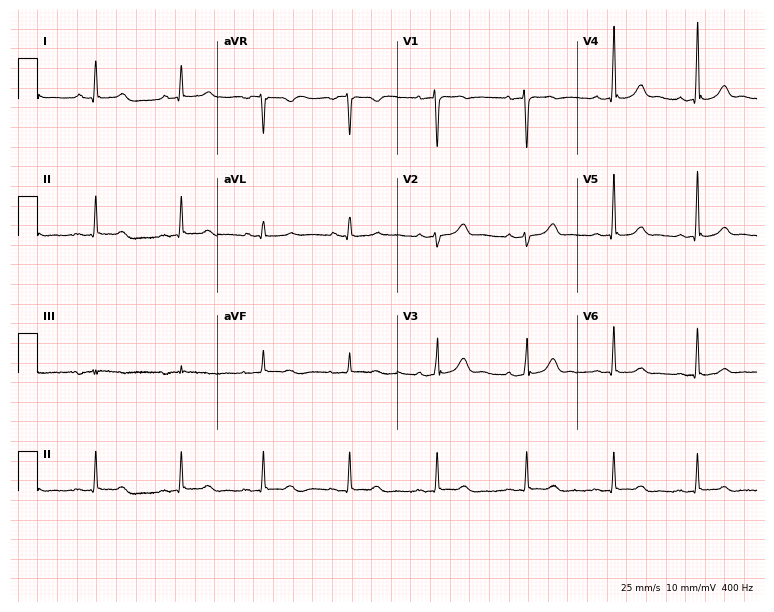
Resting 12-lead electrocardiogram. Patient: a 44-year-old man. Read as a normal ECG.